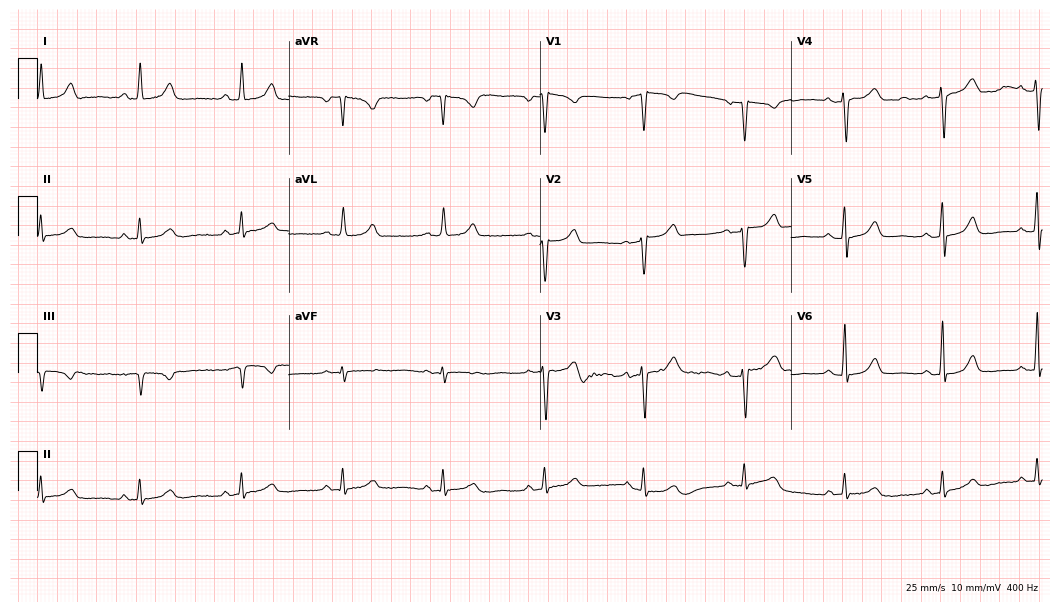
ECG — a 61-year-old woman. Screened for six findings — first-degree AV block, right bundle branch block, left bundle branch block, sinus bradycardia, atrial fibrillation, sinus tachycardia — none is recorded.